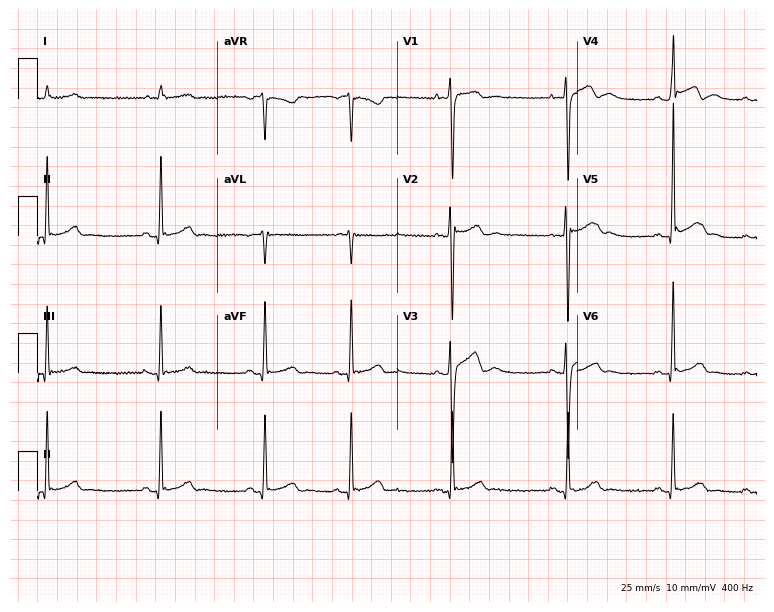
ECG (7.3-second recording at 400 Hz) — a 19-year-old man. Screened for six findings — first-degree AV block, right bundle branch block (RBBB), left bundle branch block (LBBB), sinus bradycardia, atrial fibrillation (AF), sinus tachycardia — none is recorded. Only these six findings were labelled.